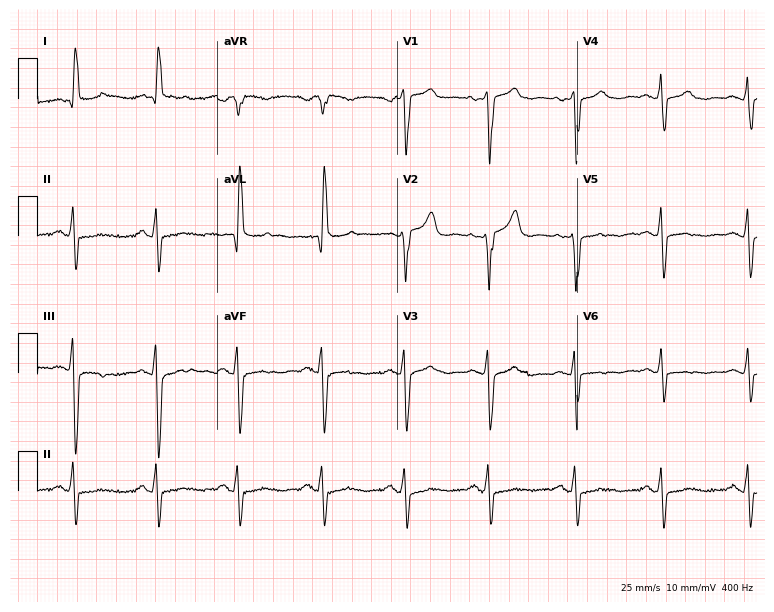
12-lead ECG from a female, 66 years old (7.3-second recording at 400 Hz). No first-degree AV block, right bundle branch block, left bundle branch block, sinus bradycardia, atrial fibrillation or sinus tachycardia recorded for this tracing.